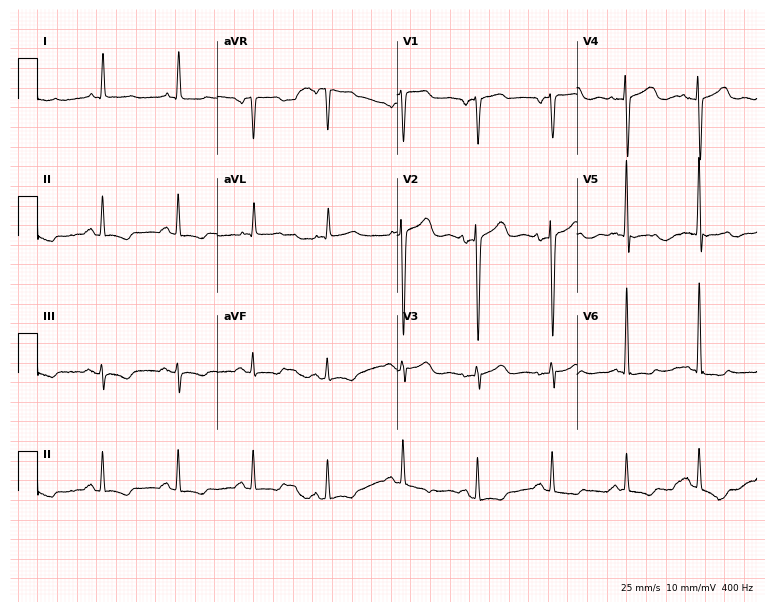
Resting 12-lead electrocardiogram. Patient: a 71-year-old female. None of these six findings is recorded: first-degree AV block, right bundle branch block, left bundle branch block, sinus bradycardia, atrial fibrillation, sinus tachycardia. Other findings, if any, are not listed.